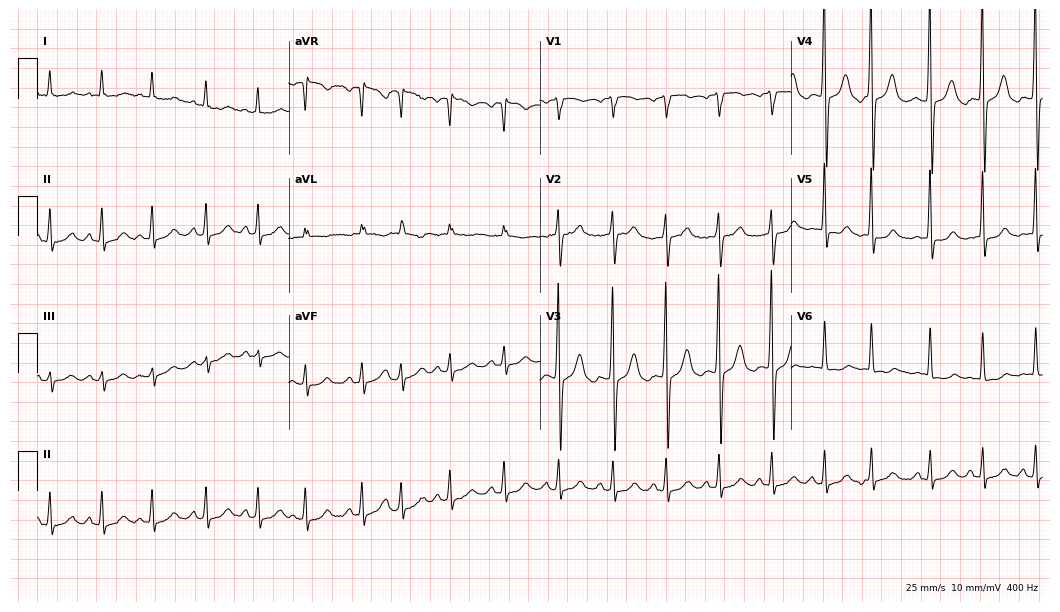
Standard 12-lead ECG recorded from a 73-year-old male patient (10.2-second recording at 400 Hz). The tracing shows sinus tachycardia (a sinus rate of 100 beats per minute or more).